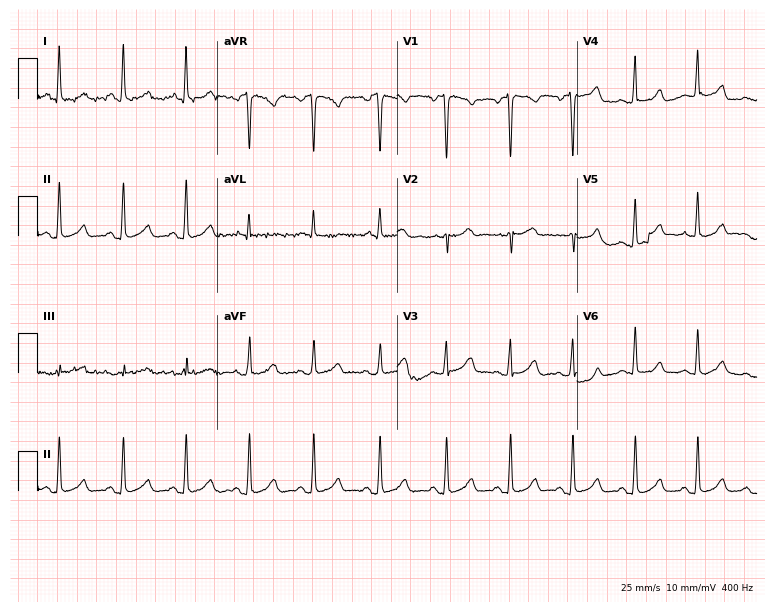
12-lead ECG (7.3-second recording at 400 Hz) from a 44-year-old woman. Labelled as a normal ECG.